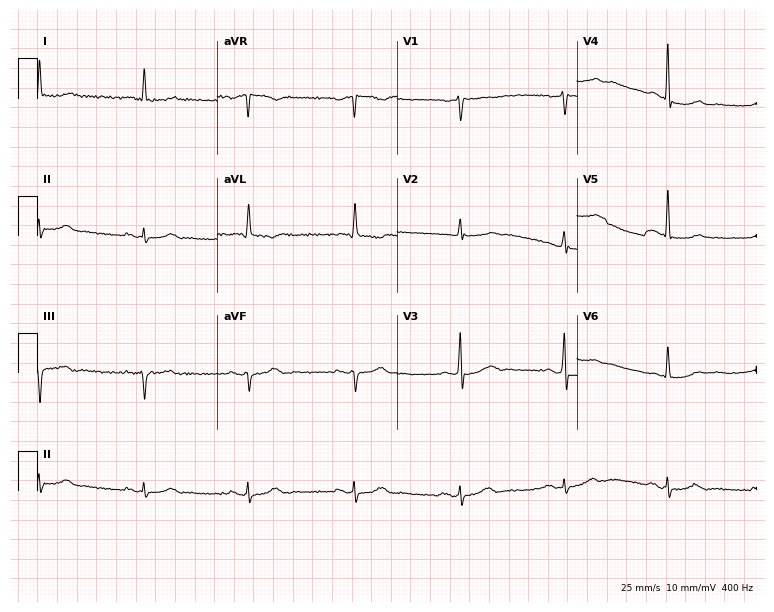
Resting 12-lead electrocardiogram. Patient: a male, 69 years old. None of these six findings is recorded: first-degree AV block, right bundle branch block, left bundle branch block, sinus bradycardia, atrial fibrillation, sinus tachycardia.